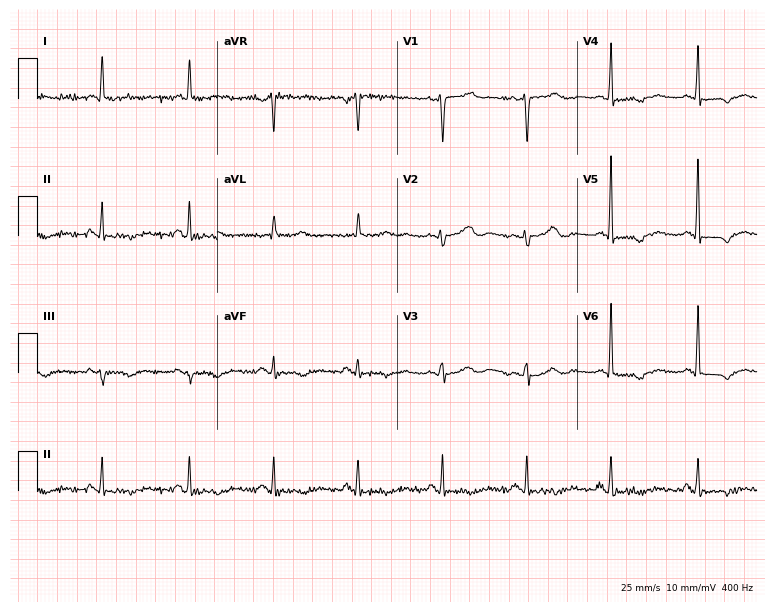
ECG — a woman, 52 years old. Screened for six findings — first-degree AV block, right bundle branch block, left bundle branch block, sinus bradycardia, atrial fibrillation, sinus tachycardia — none is recorded. Other findings, if any, are not listed.